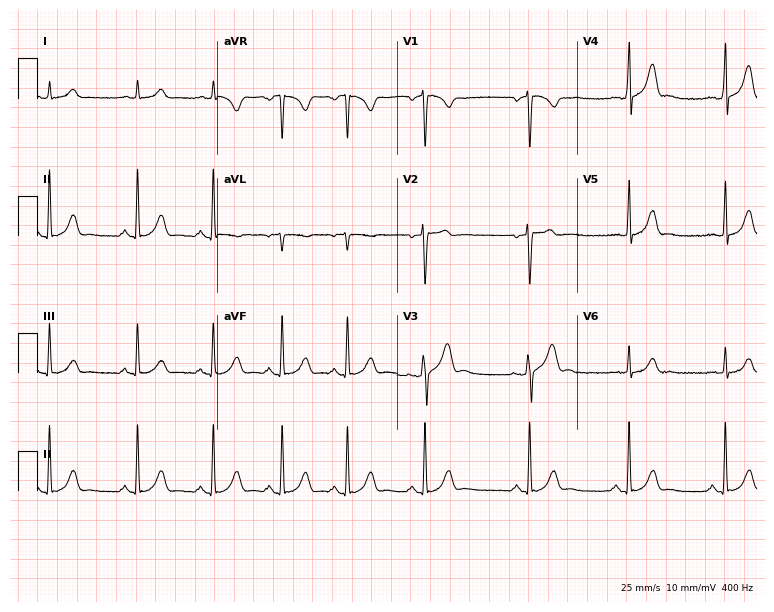
12-lead ECG (7.3-second recording at 400 Hz) from a male, 22 years old. Labelled as a normal ECG.